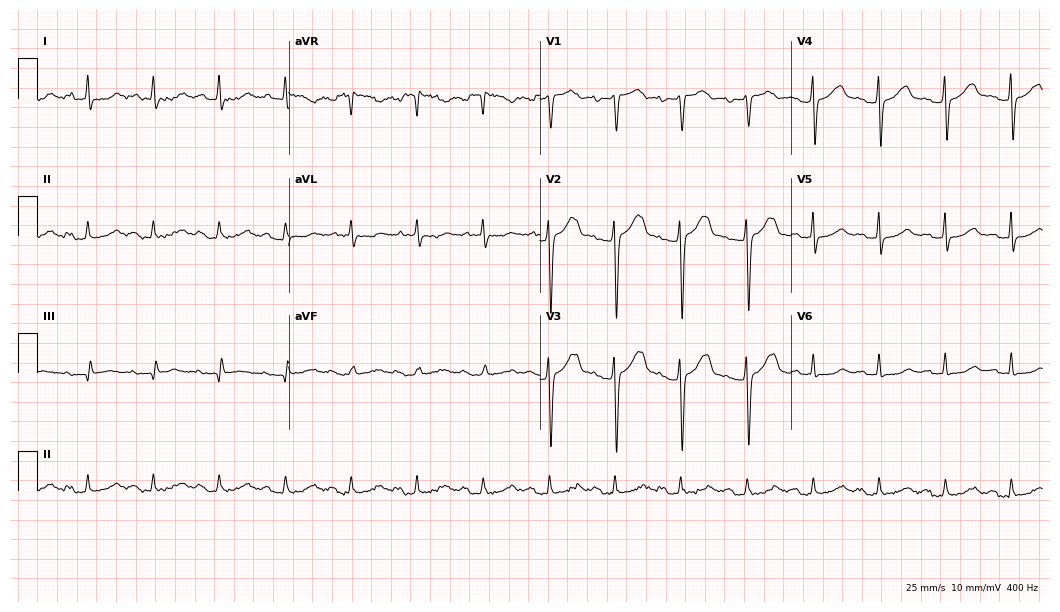
Standard 12-lead ECG recorded from a female patient, 81 years old (10.2-second recording at 400 Hz). The tracing shows first-degree AV block.